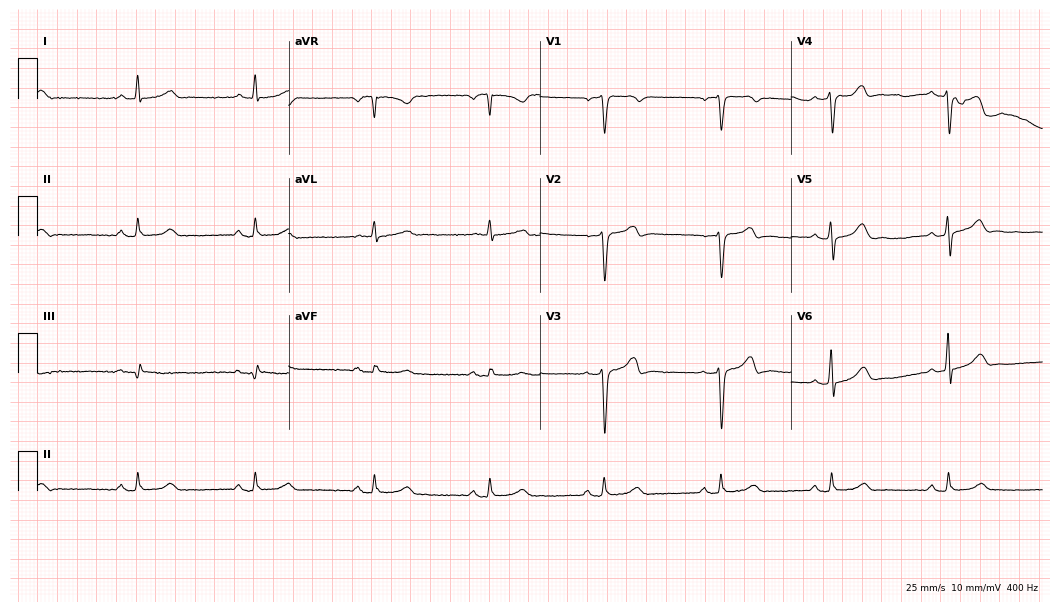
Resting 12-lead electrocardiogram. Patient: a 51-year-old male. Read as a normal ECG.